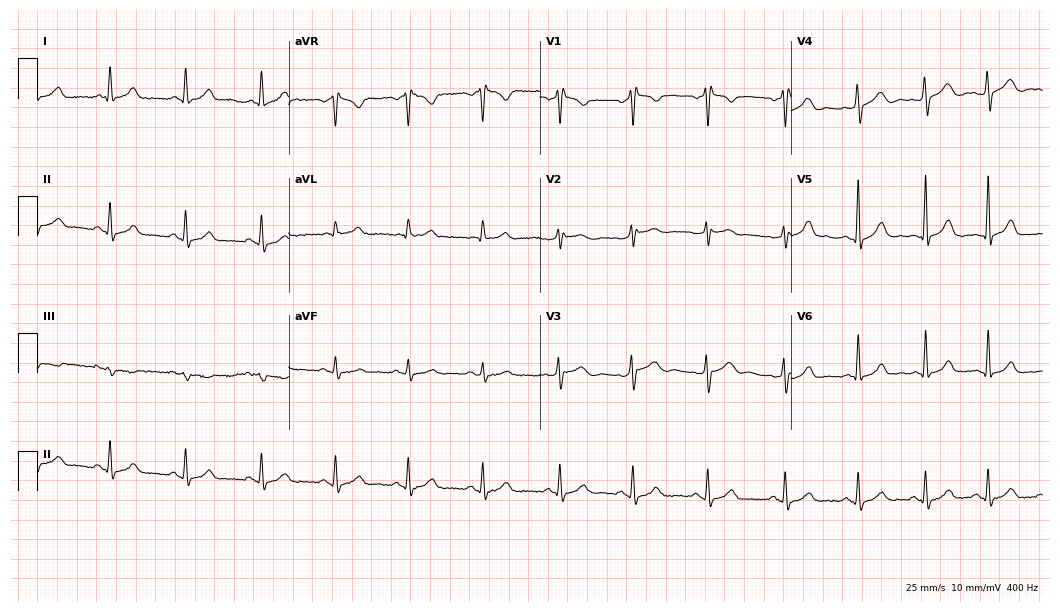
Electrocardiogram, a 43-year-old woman. Of the six screened findings (first-degree AV block, right bundle branch block, left bundle branch block, sinus bradycardia, atrial fibrillation, sinus tachycardia), none is recorded. Only these six findings were labelled.